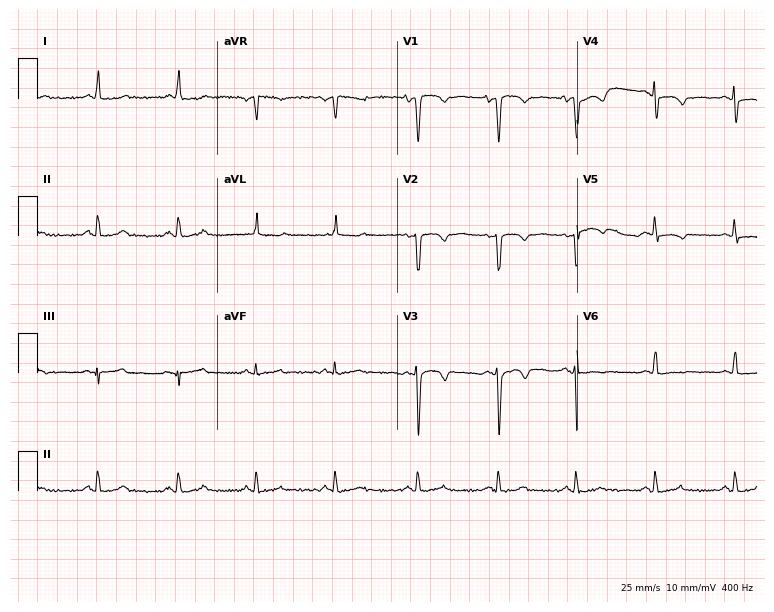
Resting 12-lead electrocardiogram (7.3-second recording at 400 Hz). Patient: a 48-year-old female. None of these six findings is recorded: first-degree AV block, right bundle branch block, left bundle branch block, sinus bradycardia, atrial fibrillation, sinus tachycardia. Findings outside these six are not listed.